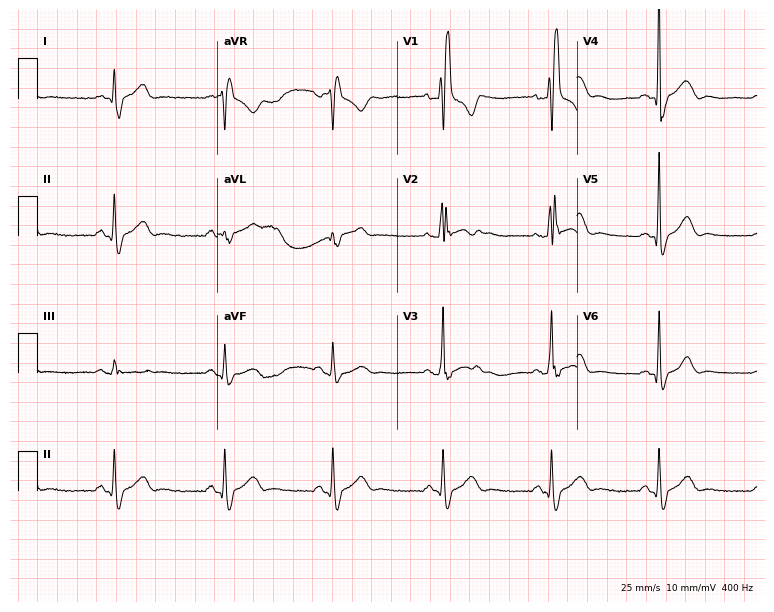
Electrocardiogram (7.3-second recording at 400 Hz), a 36-year-old male. Of the six screened findings (first-degree AV block, right bundle branch block, left bundle branch block, sinus bradycardia, atrial fibrillation, sinus tachycardia), none is recorded. Findings outside these six are not listed.